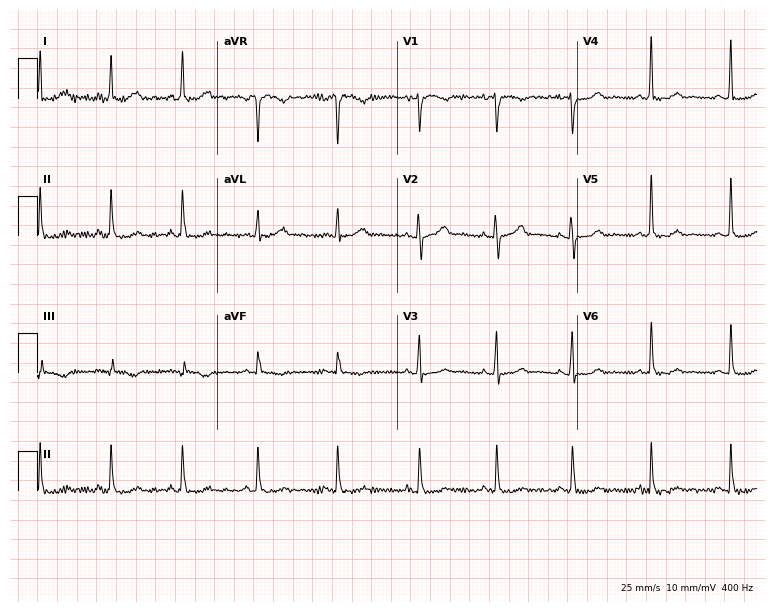
ECG (7.3-second recording at 400 Hz) — a 52-year-old female patient. Labelled as a normal ECG.